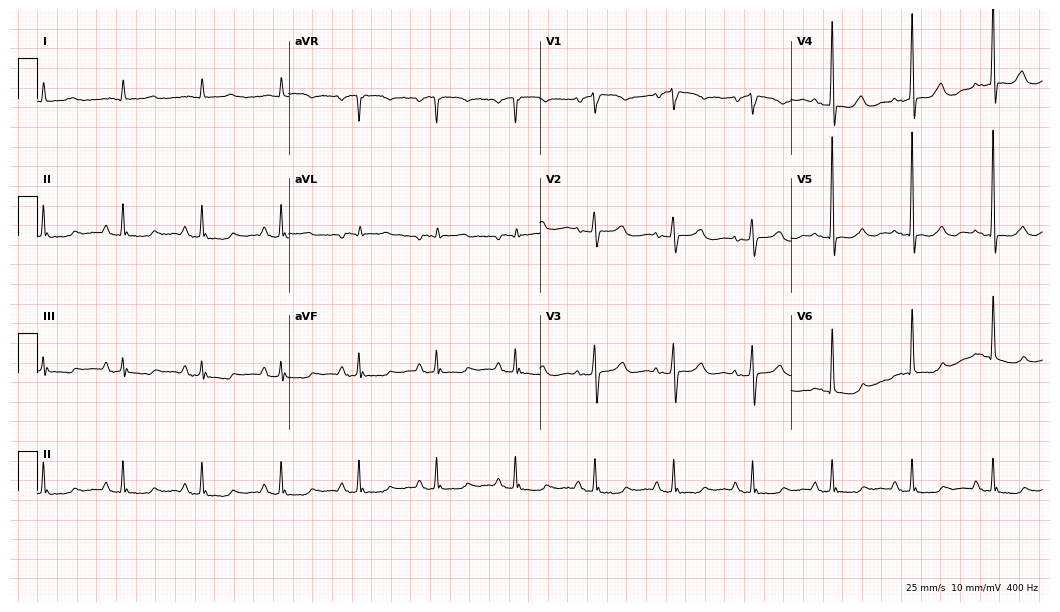
ECG (10.2-second recording at 400 Hz) — an 83-year-old female. Screened for six findings — first-degree AV block, right bundle branch block, left bundle branch block, sinus bradycardia, atrial fibrillation, sinus tachycardia — none is recorded.